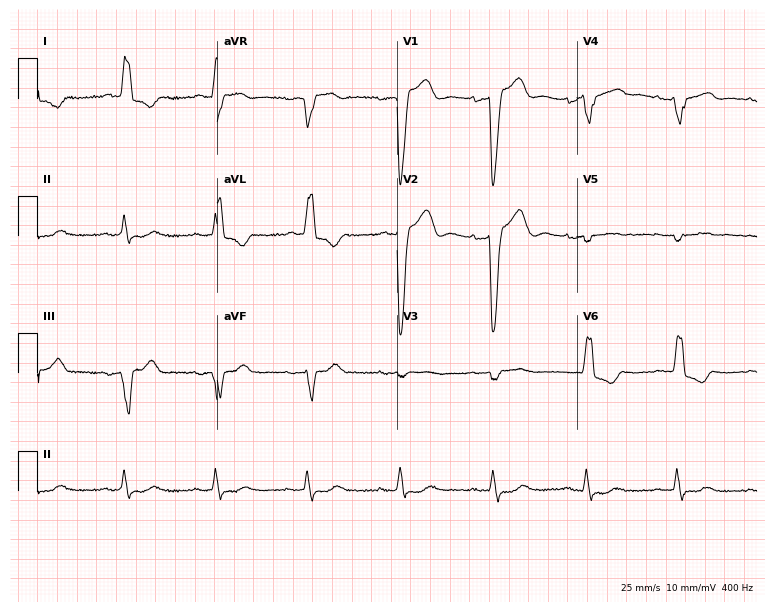
Resting 12-lead electrocardiogram. Patient: a woman, 83 years old. None of these six findings is recorded: first-degree AV block, right bundle branch block, left bundle branch block, sinus bradycardia, atrial fibrillation, sinus tachycardia.